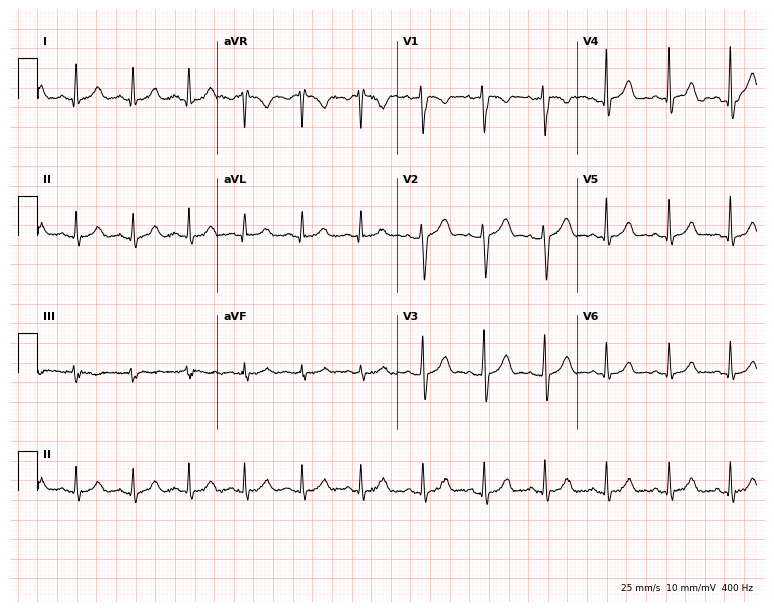
12-lead ECG from a female, 32 years old (7.3-second recording at 400 Hz). Recorded interpretation: within normal limits.